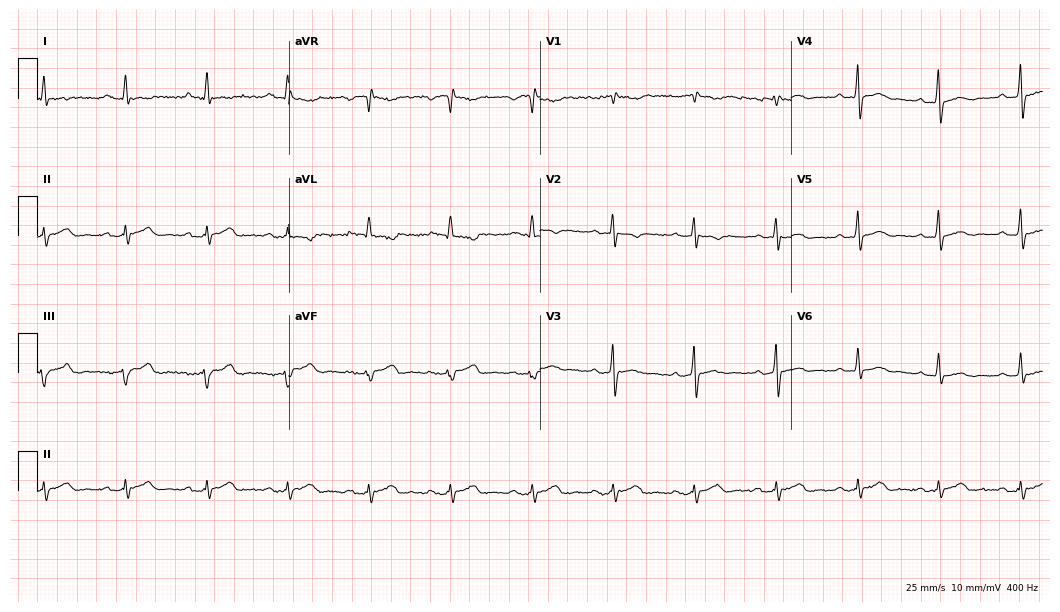
Electrocardiogram, a 52-year-old male patient. Interpretation includes first-degree AV block.